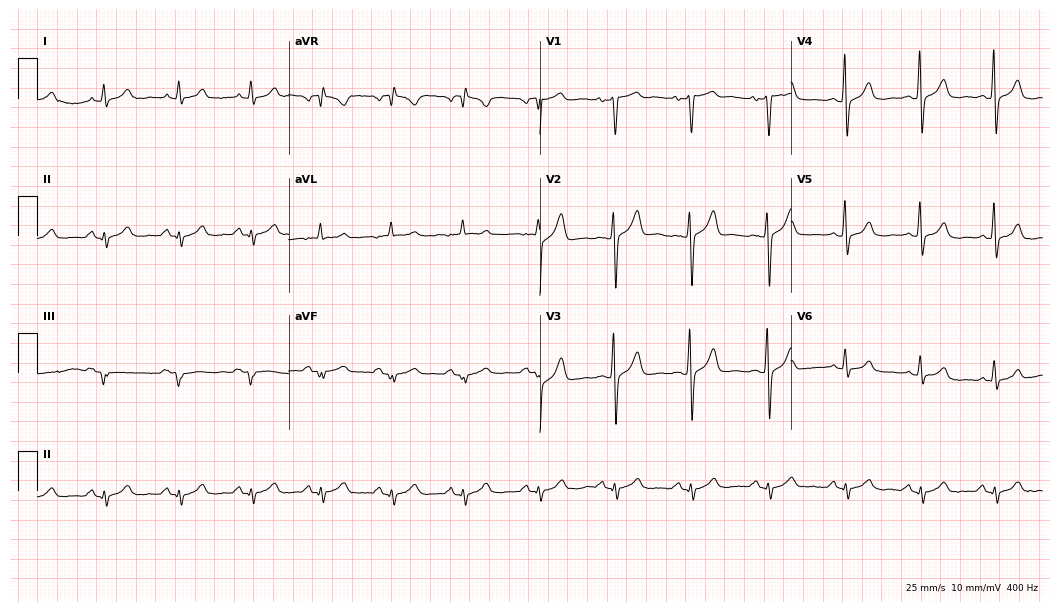
ECG (10.2-second recording at 400 Hz) — a man, 56 years old. Screened for six findings — first-degree AV block, right bundle branch block (RBBB), left bundle branch block (LBBB), sinus bradycardia, atrial fibrillation (AF), sinus tachycardia — none is recorded. Other findings, if any, are not listed.